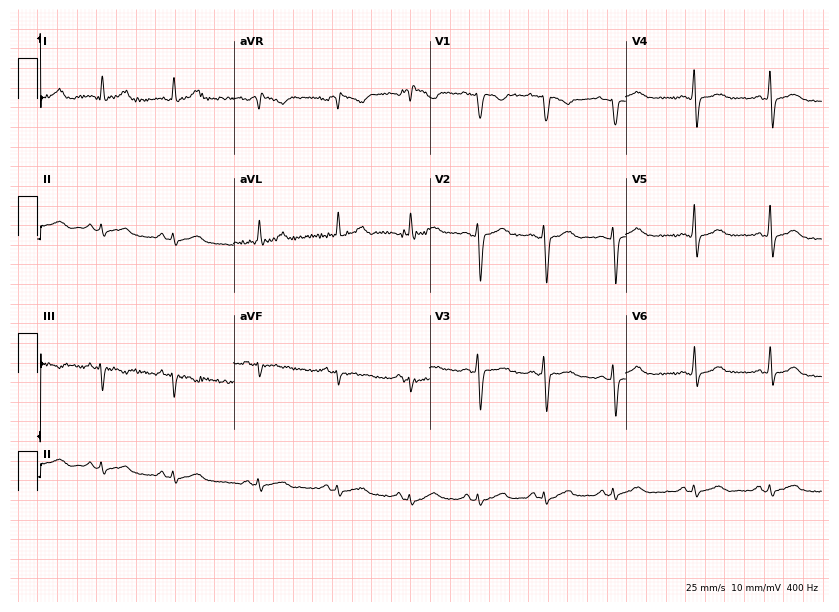
12-lead ECG from a female, 30 years old. No first-degree AV block, right bundle branch block (RBBB), left bundle branch block (LBBB), sinus bradycardia, atrial fibrillation (AF) or sinus tachycardia recorded for this tracing. Other findings, if any, are not listed.